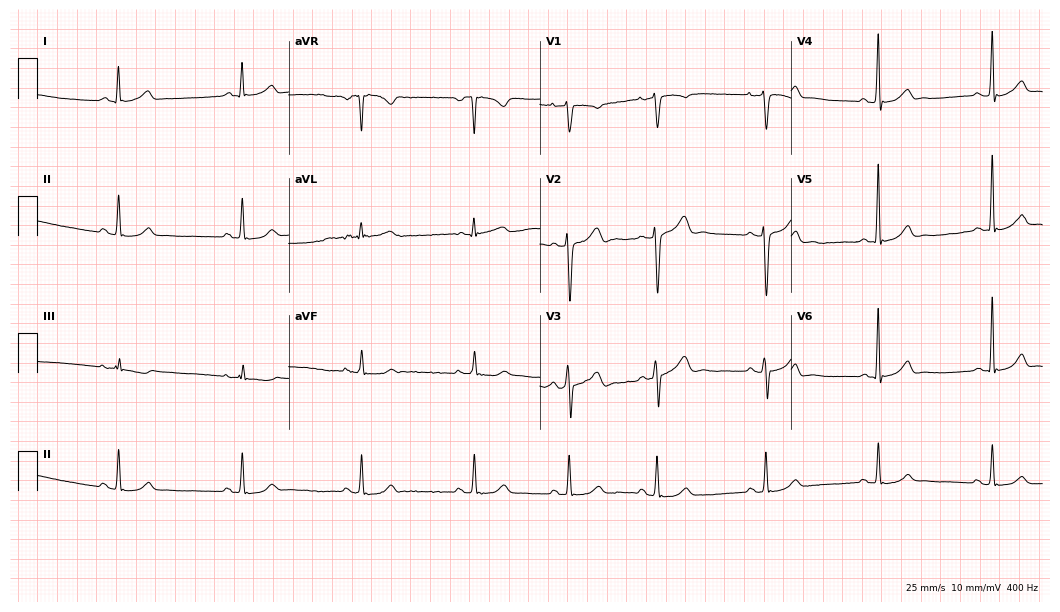
Standard 12-lead ECG recorded from a male, 27 years old (10.2-second recording at 400 Hz). None of these six findings is recorded: first-degree AV block, right bundle branch block (RBBB), left bundle branch block (LBBB), sinus bradycardia, atrial fibrillation (AF), sinus tachycardia.